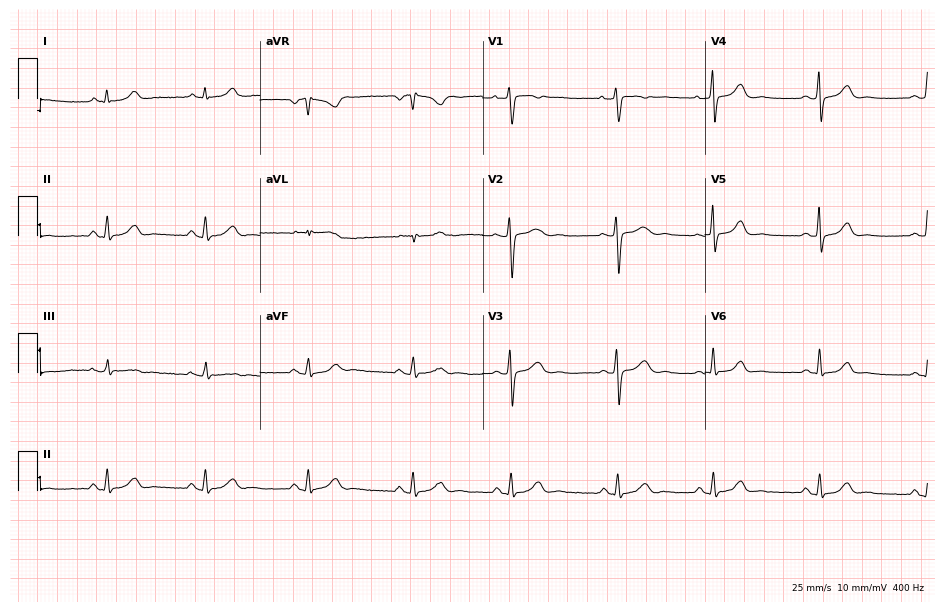
Standard 12-lead ECG recorded from a 34-year-old female (9.1-second recording at 400 Hz). None of these six findings is recorded: first-degree AV block, right bundle branch block, left bundle branch block, sinus bradycardia, atrial fibrillation, sinus tachycardia.